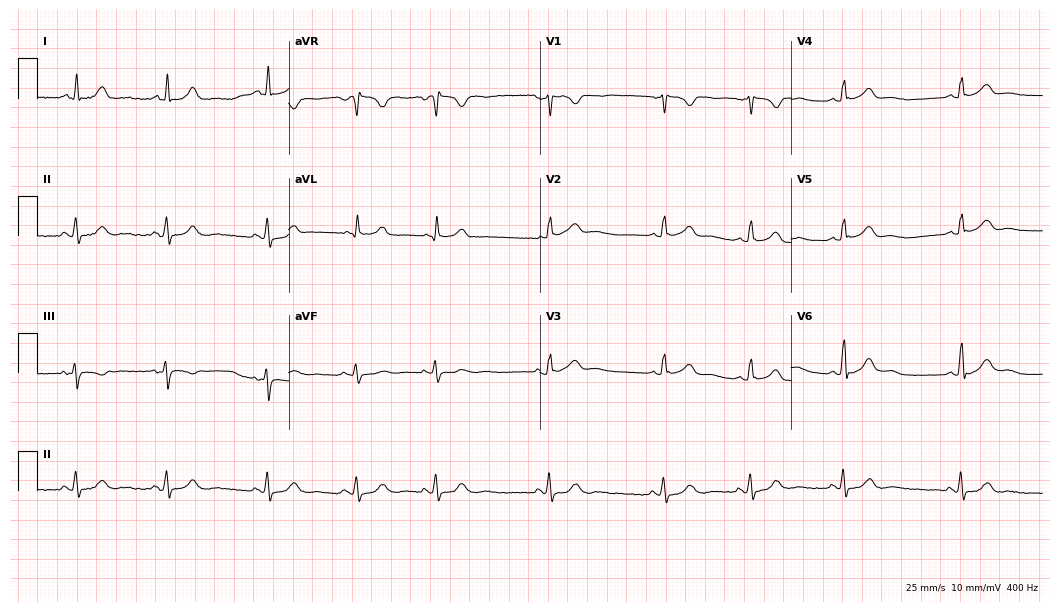
Resting 12-lead electrocardiogram. Patient: a 30-year-old female. Read as a normal ECG.